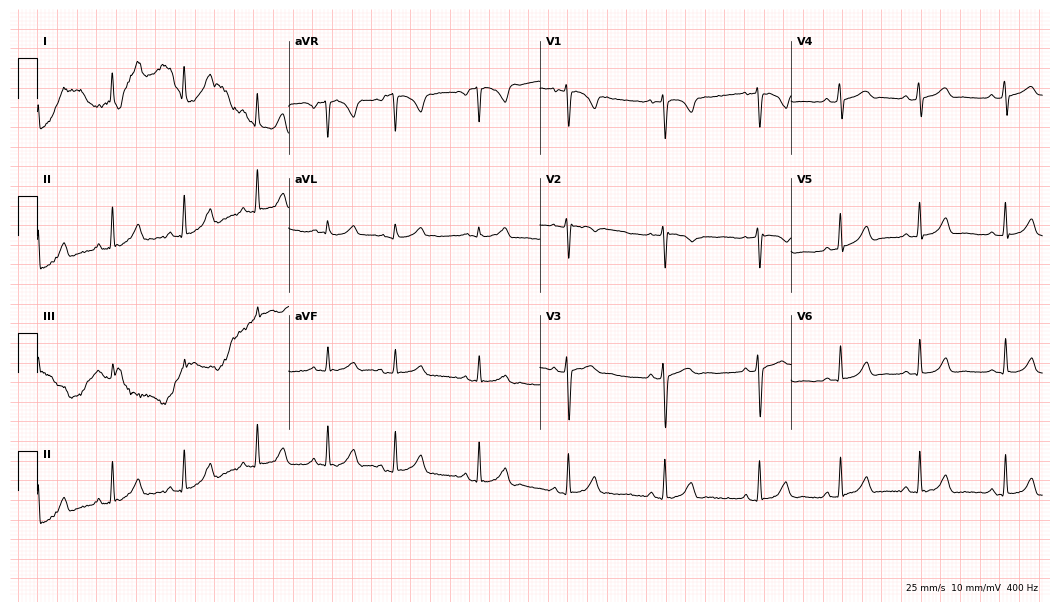
12-lead ECG (10.2-second recording at 400 Hz) from a 28-year-old female. Labelled as a normal ECG.